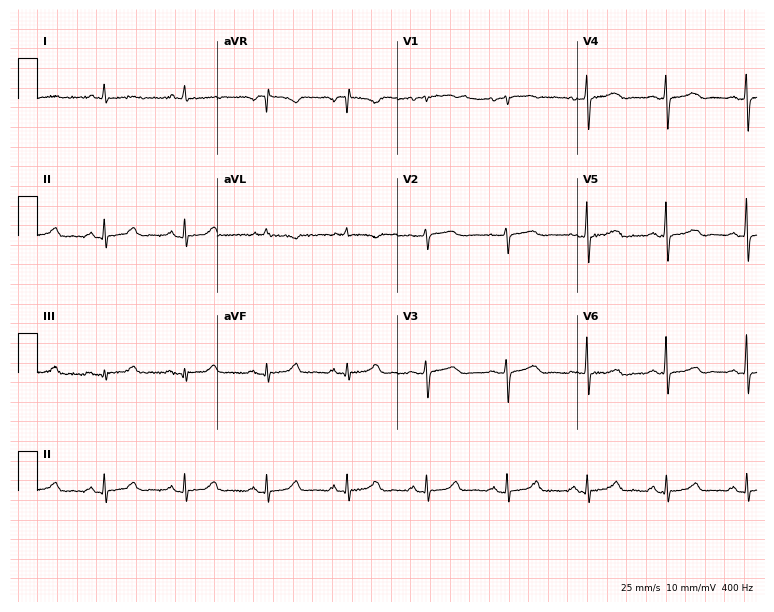
ECG — a 71-year-old female patient. Labelled as a normal ECG.